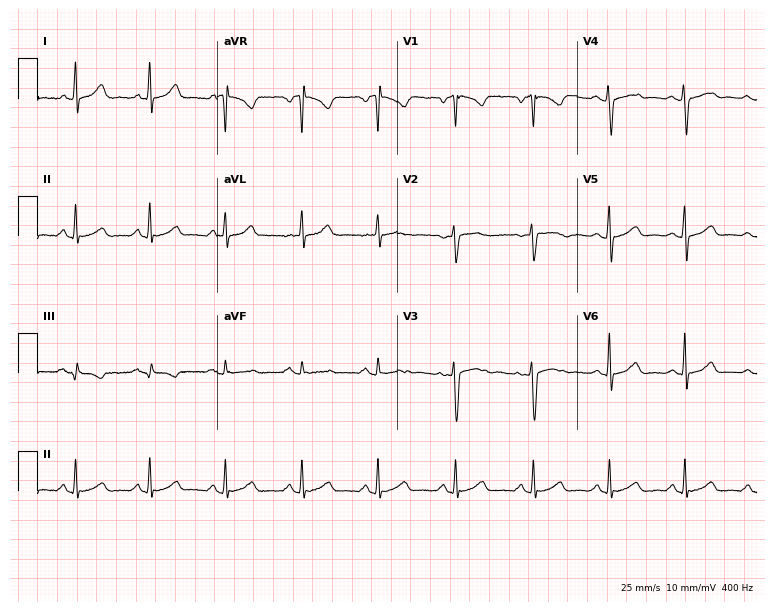
Resting 12-lead electrocardiogram. Patient: a 30-year-old female. Read as a normal ECG.